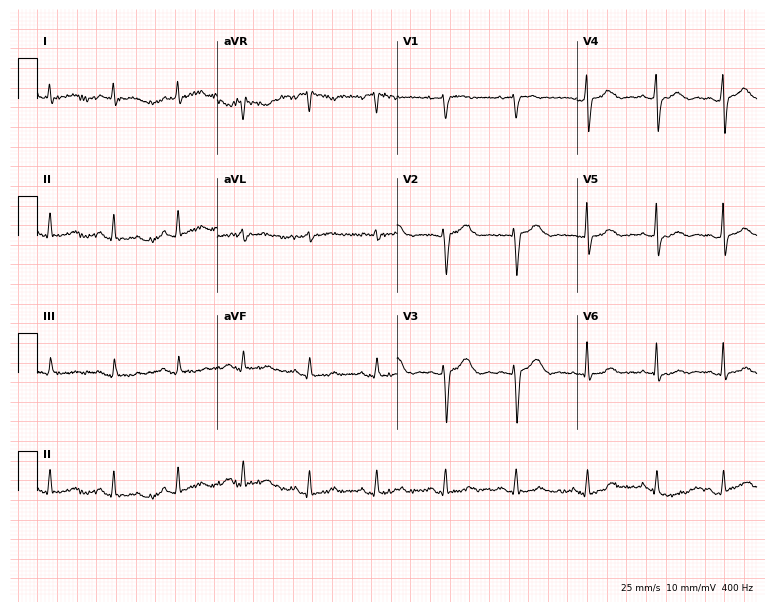
ECG (7.3-second recording at 400 Hz) — a 42-year-old female patient. Labelled as a normal ECG.